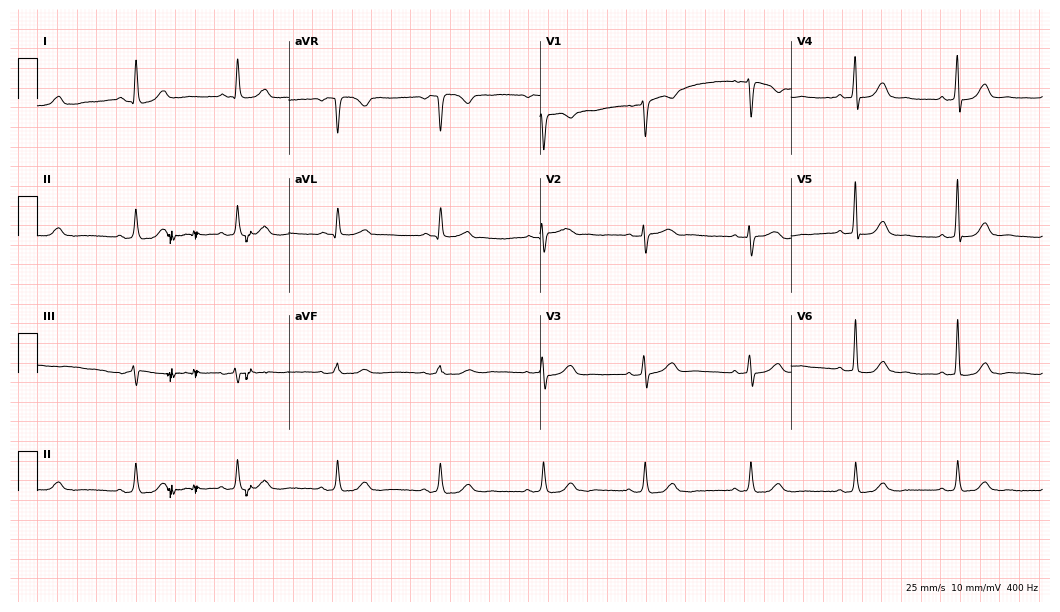
12-lead ECG from a 68-year-old female patient. Recorded interpretation: within normal limits.